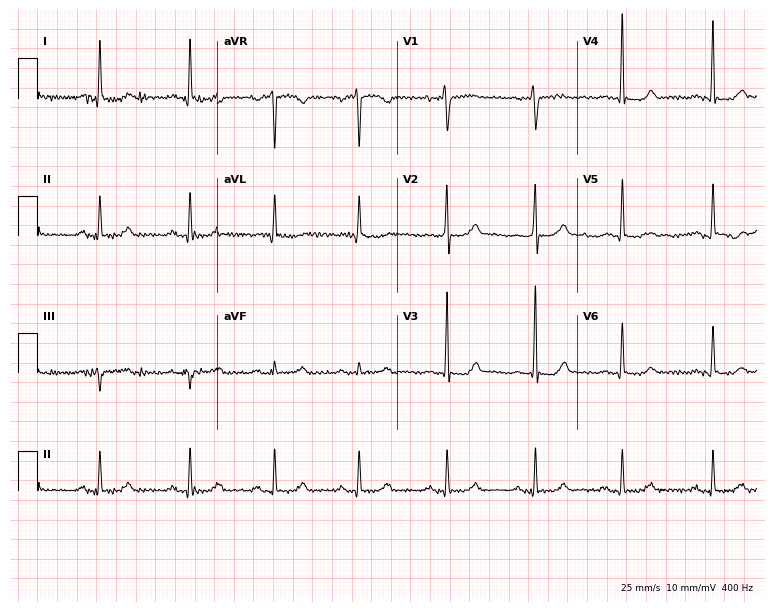
Standard 12-lead ECG recorded from a 56-year-old woman (7.3-second recording at 400 Hz). Read as a normal ECG.